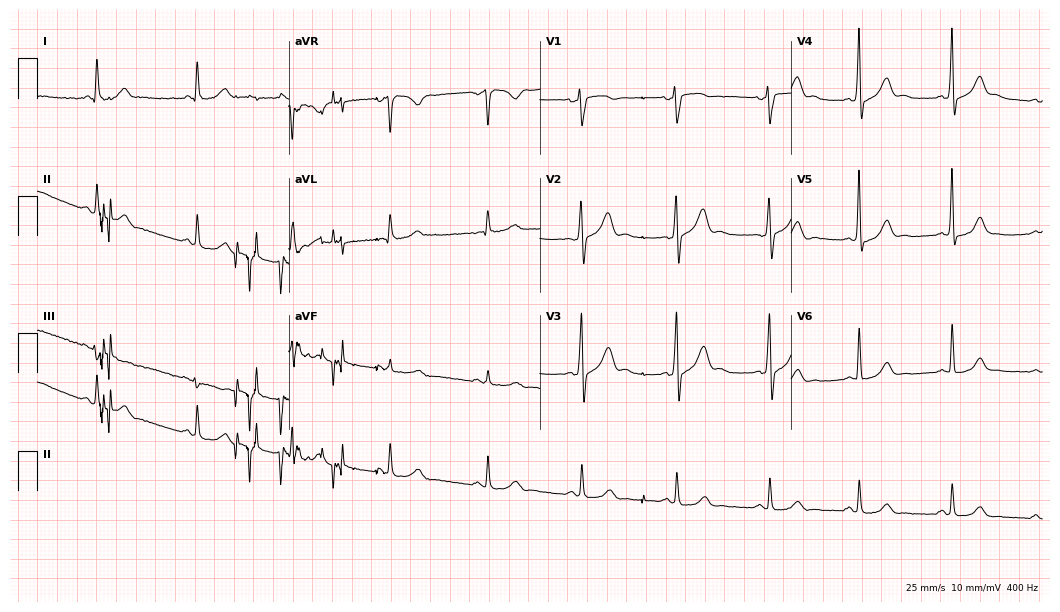
Resting 12-lead electrocardiogram. Patient: a male, 49 years old. Read as a normal ECG.